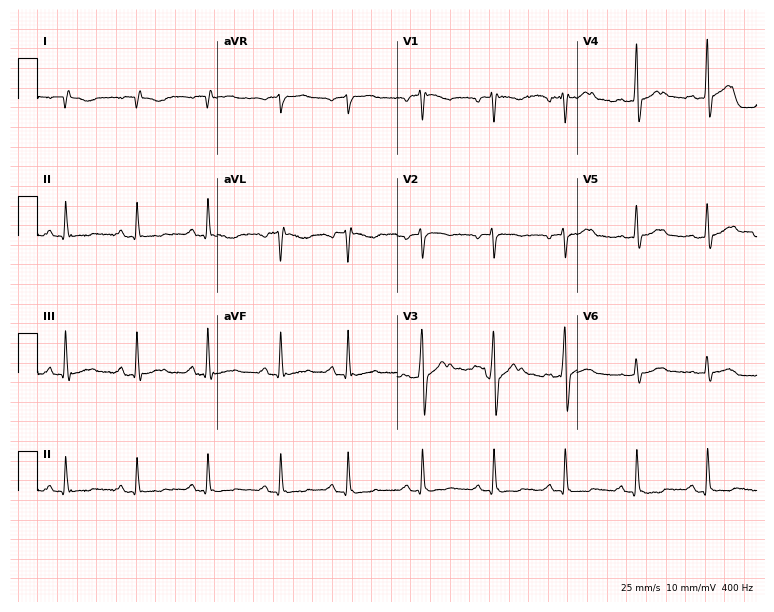
Standard 12-lead ECG recorded from a man, 49 years old. None of these six findings is recorded: first-degree AV block, right bundle branch block (RBBB), left bundle branch block (LBBB), sinus bradycardia, atrial fibrillation (AF), sinus tachycardia. Only these six findings were labelled.